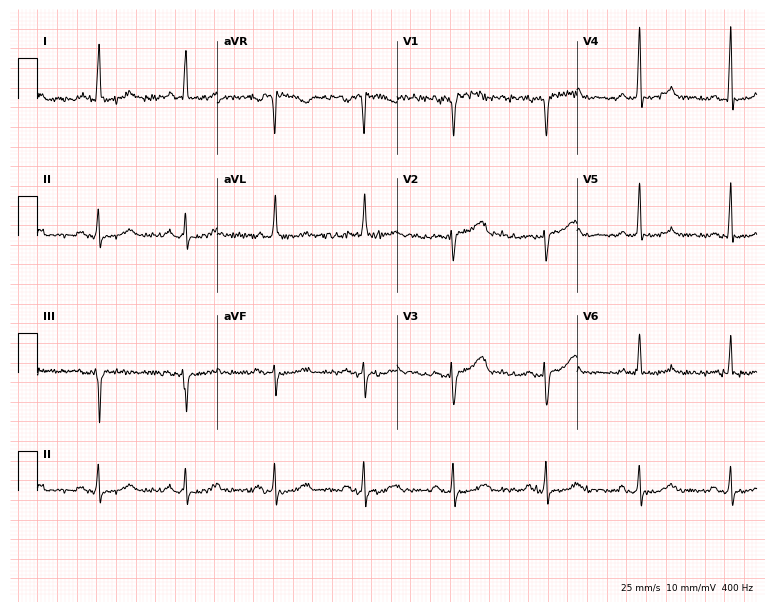
12-lead ECG from a female, 68 years old. No first-degree AV block, right bundle branch block, left bundle branch block, sinus bradycardia, atrial fibrillation or sinus tachycardia recorded for this tracing.